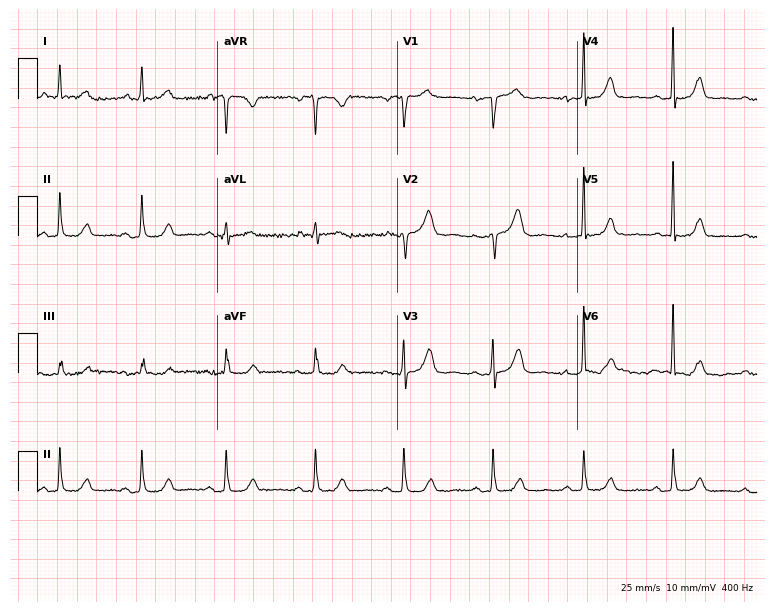
ECG — a woman, 64 years old. Screened for six findings — first-degree AV block, right bundle branch block (RBBB), left bundle branch block (LBBB), sinus bradycardia, atrial fibrillation (AF), sinus tachycardia — none is recorded. Other findings, if any, are not listed.